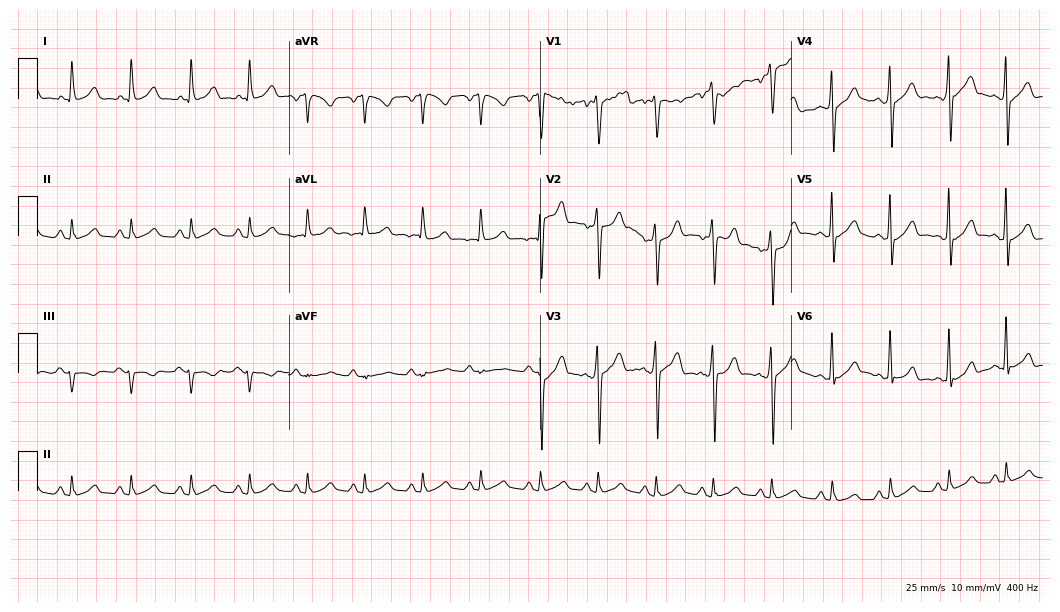
Resting 12-lead electrocardiogram (10.2-second recording at 400 Hz). Patient: a 30-year-old man. Read as a normal ECG.